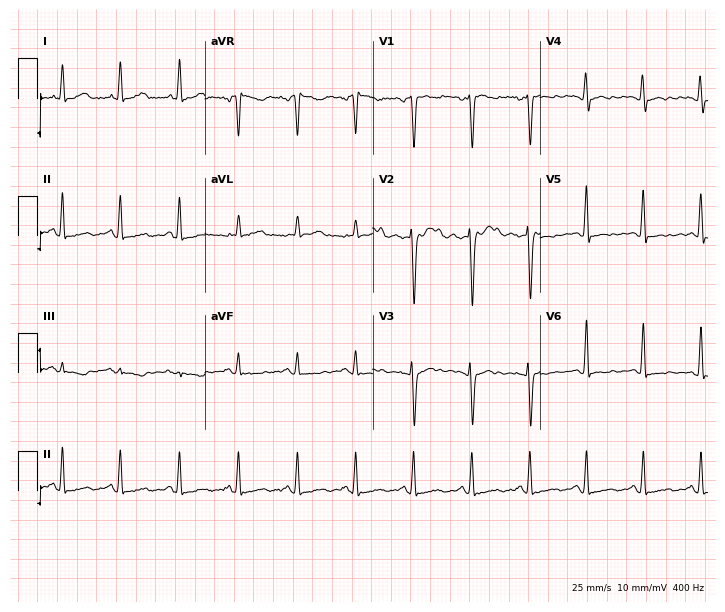
Resting 12-lead electrocardiogram (6.8-second recording at 400 Hz). Patient: a 32-year-old female. None of these six findings is recorded: first-degree AV block, right bundle branch block, left bundle branch block, sinus bradycardia, atrial fibrillation, sinus tachycardia.